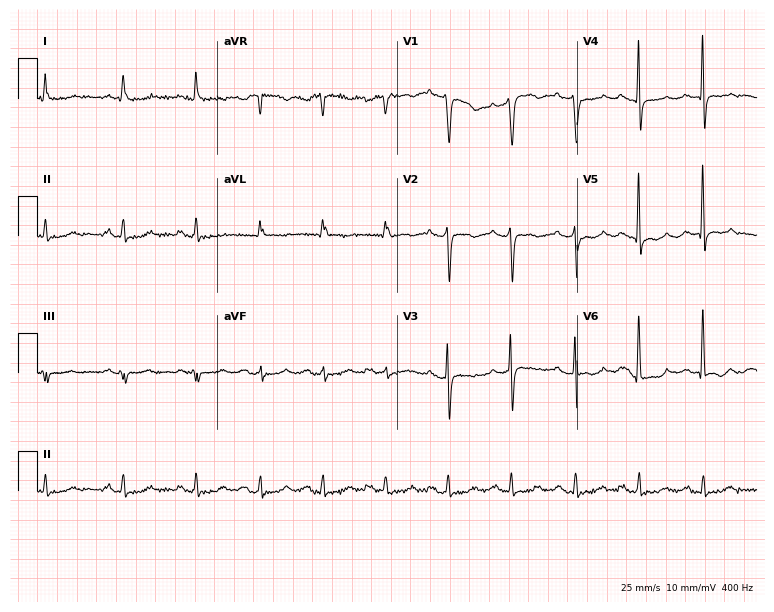
12-lead ECG from an 80-year-old female (7.3-second recording at 400 Hz). Recorded interpretation: within normal limits.